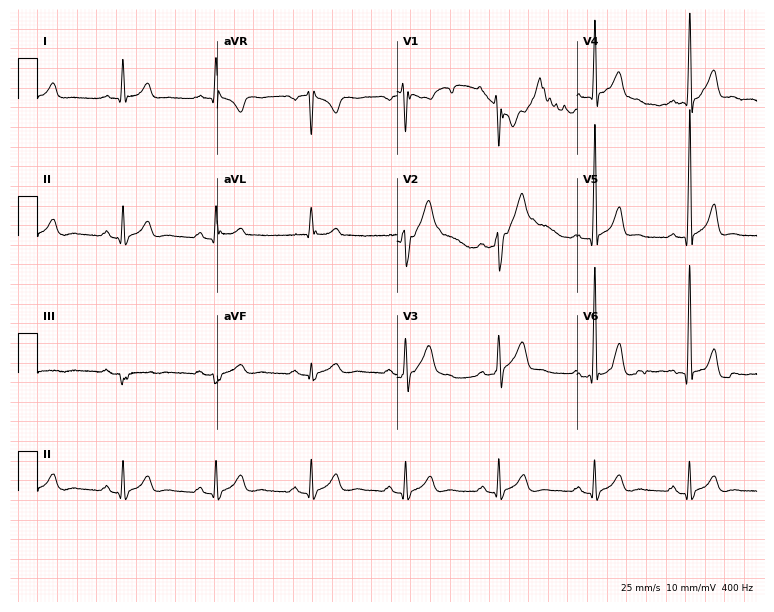
12-lead ECG from a male patient, 34 years old. No first-degree AV block, right bundle branch block, left bundle branch block, sinus bradycardia, atrial fibrillation or sinus tachycardia recorded for this tracing.